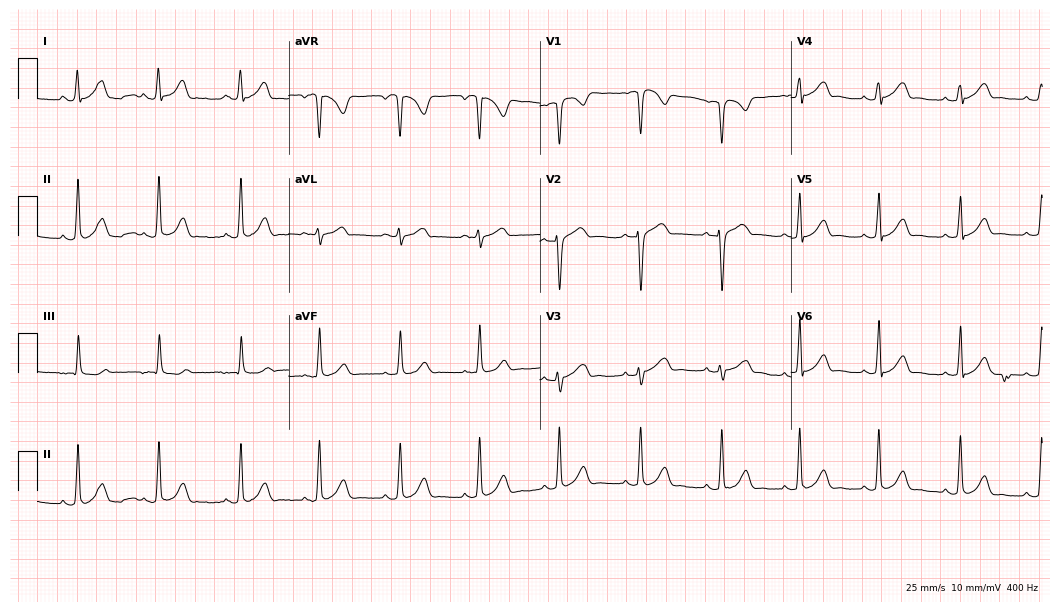
ECG (10.2-second recording at 400 Hz) — a 17-year-old male. Screened for six findings — first-degree AV block, right bundle branch block (RBBB), left bundle branch block (LBBB), sinus bradycardia, atrial fibrillation (AF), sinus tachycardia — none is recorded.